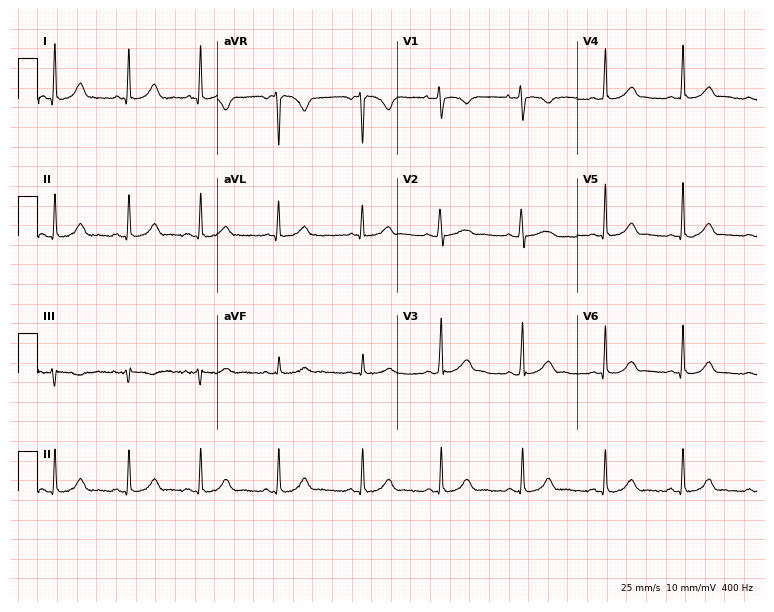
12-lead ECG from a female, 26 years old. Labelled as a normal ECG.